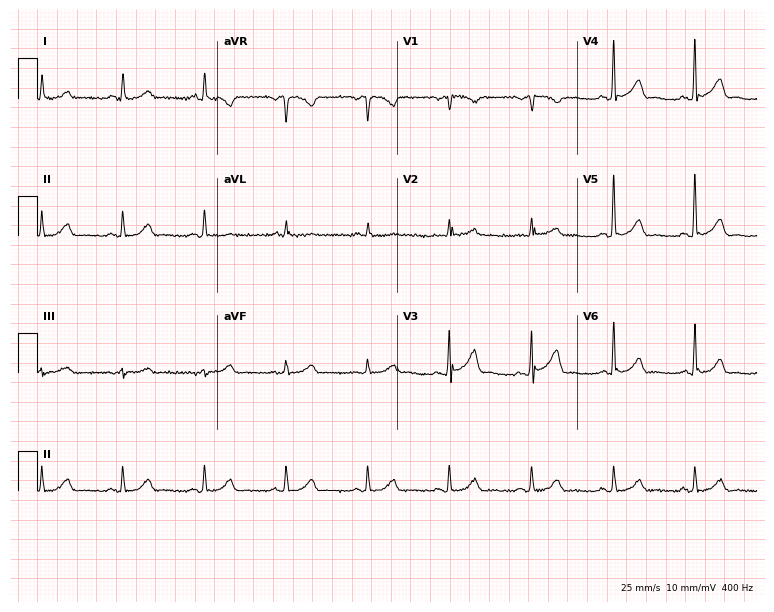
Resting 12-lead electrocardiogram (7.3-second recording at 400 Hz). Patient: a female, 65 years old. Read as a normal ECG.